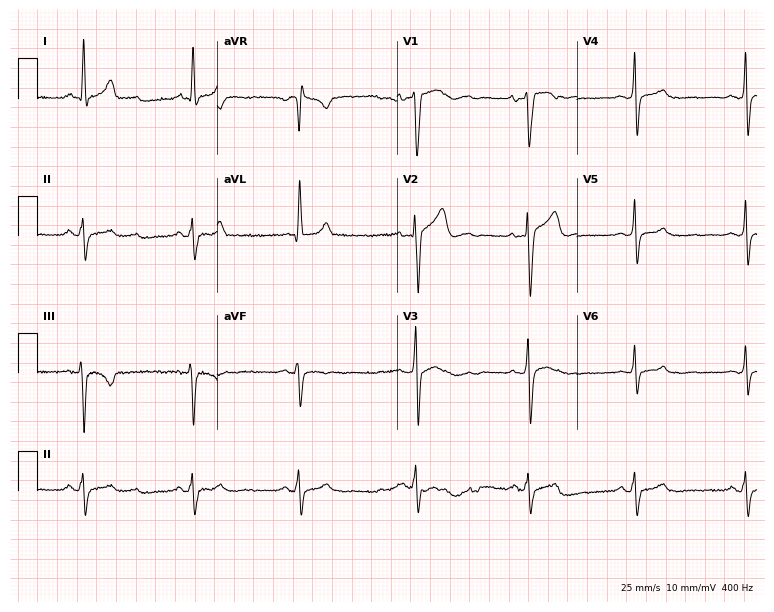
Resting 12-lead electrocardiogram. Patient: a man, 41 years old. None of these six findings is recorded: first-degree AV block, right bundle branch block, left bundle branch block, sinus bradycardia, atrial fibrillation, sinus tachycardia.